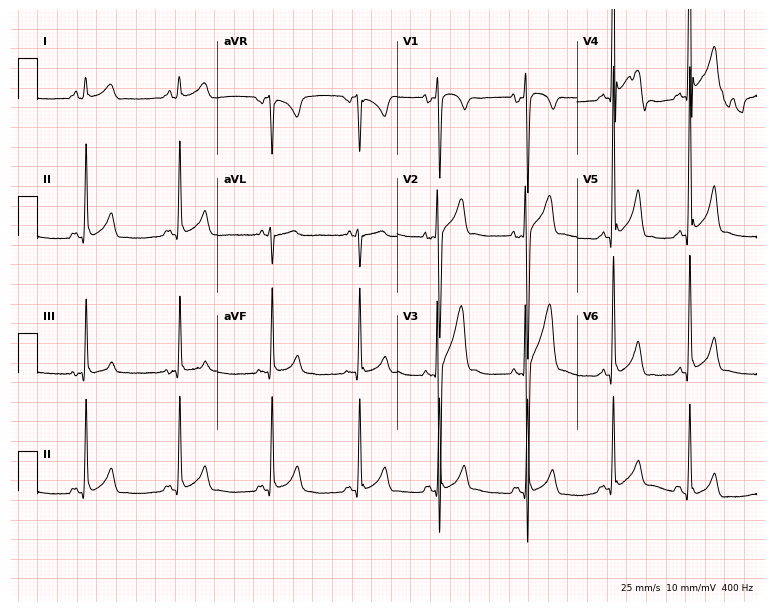
12-lead ECG from a male, 20 years old. Recorded interpretation: within normal limits.